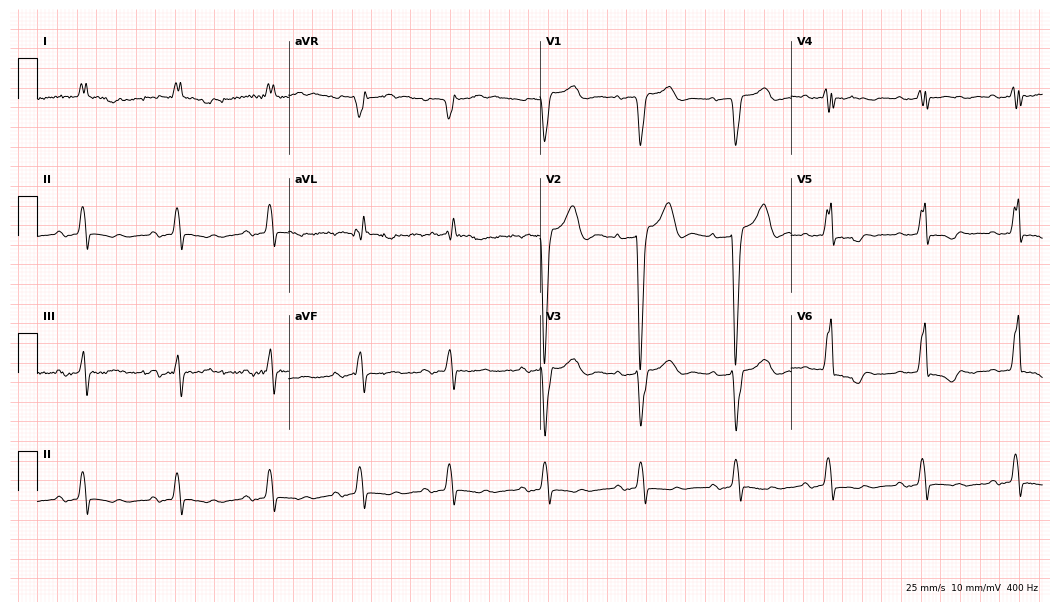
12-lead ECG from an 81-year-old female. Findings include first-degree AV block, left bundle branch block.